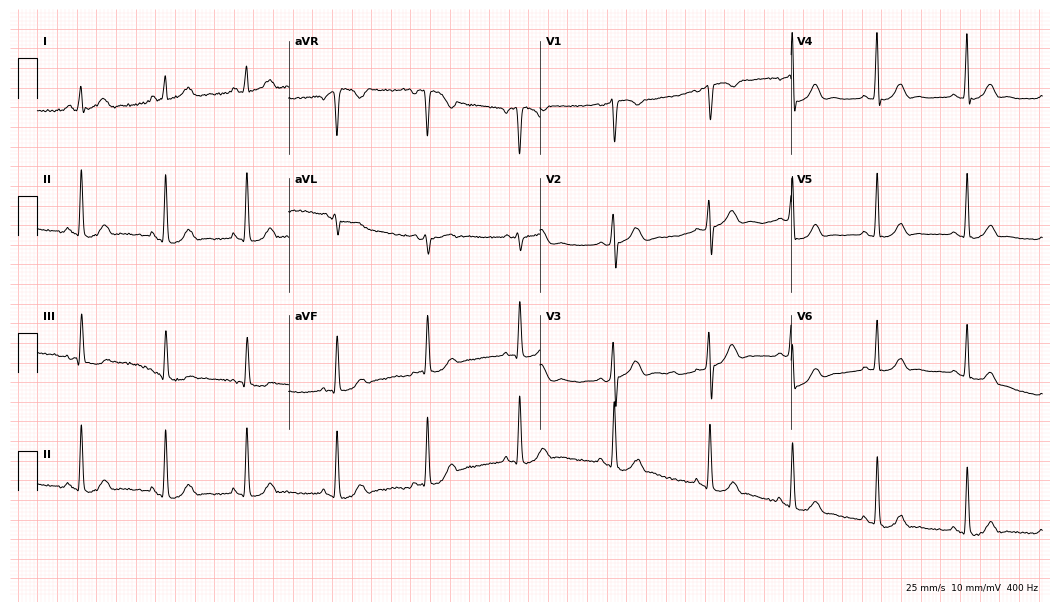
ECG (10.2-second recording at 400 Hz) — a woman, 18 years old. Screened for six findings — first-degree AV block, right bundle branch block, left bundle branch block, sinus bradycardia, atrial fibrillation, sinus tachycardia — none is recorded. Other findings, if any, are not listed.